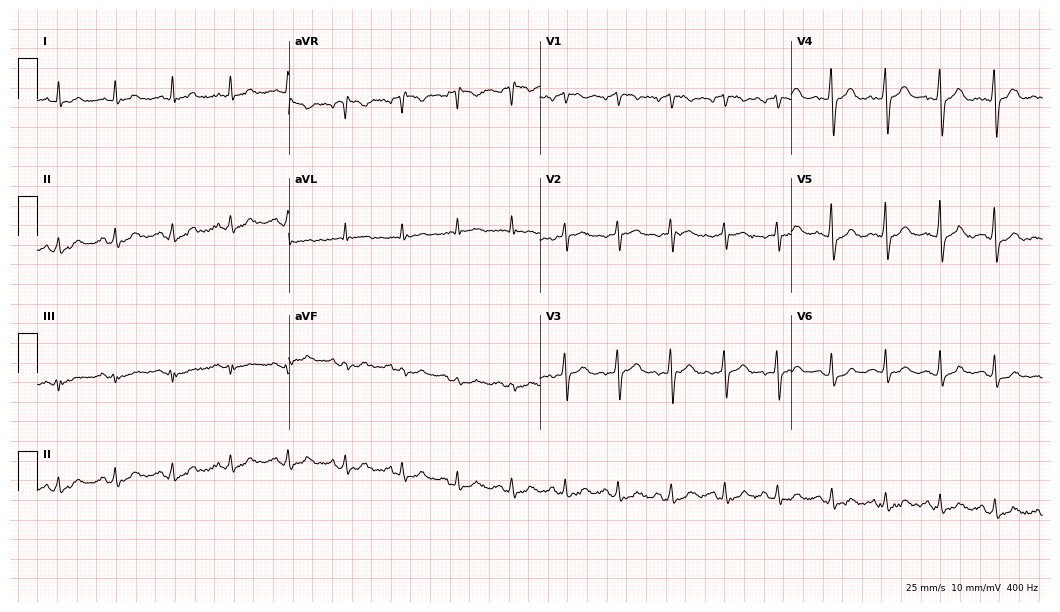
Resting 12-lead electrocardiogram. Patient: a man, 46 years old. The tracing shows sinus tachycardia (a sinus rate of 100 beats per minute or more).